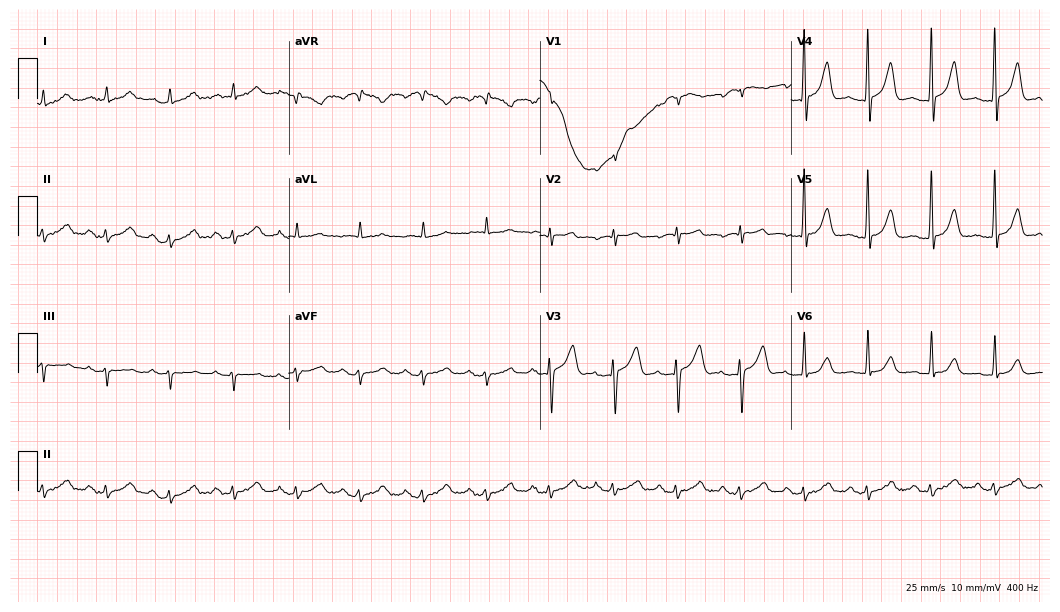
12-lead ECG from an 80-year-old male patient. Labelled as a normal ECG.